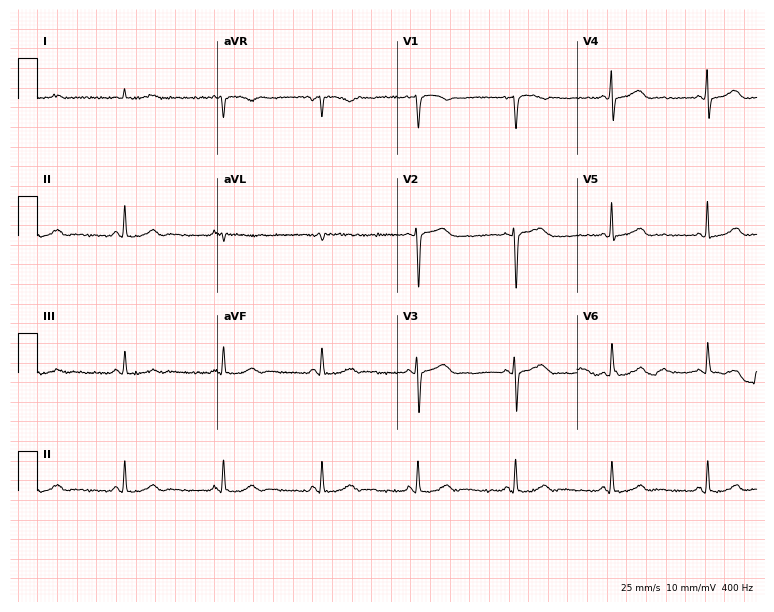
Standard 12-lead ECG recorded from a woman, 54 years old (7.3-second recording at 400 Hz). Read as a normal ECG.